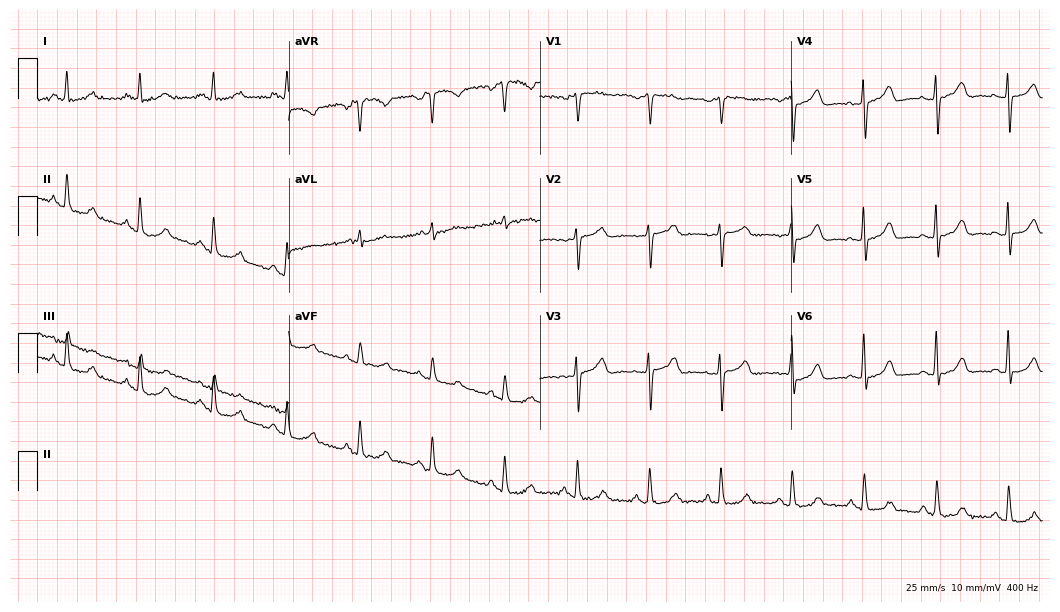
12-lead ECG from a female, 55 years old. Screened for six findings — first-degree AV block, right bundle branch block, left bundle branch block, sinus bradycardia, atrial fibrillation, sinus tachycardia — none is recorded.